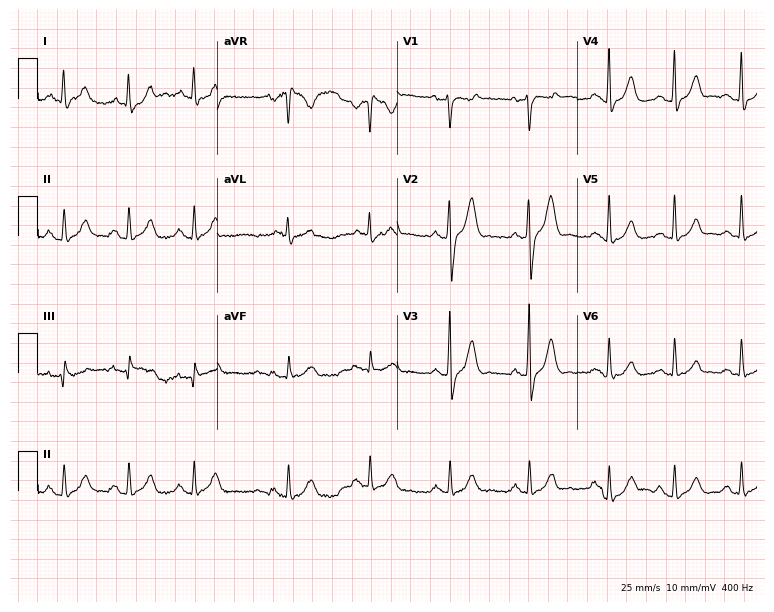
12-lead ECG from a 58-year-old male patient. Labelled as a normal ECG.